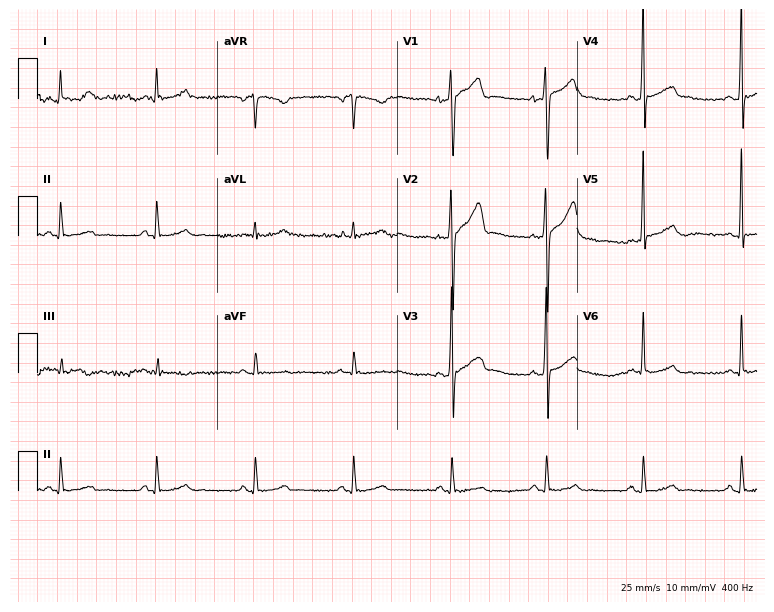
12-lead ECG from a 32-year-old man. Screened for six findings — first-degree AV block, right bundle branch block, left bundle branch block, sinus bradycardia, atrial fibrillation, sinus tachycardia — none is recorded. Other findings, if any, are not listed.